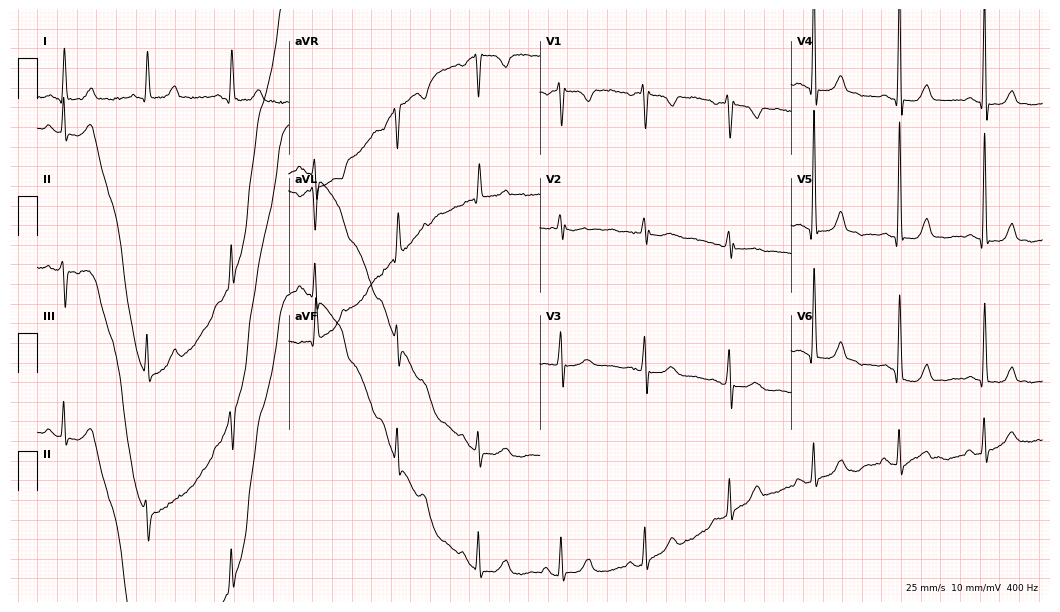
Electrocardiogram (10.2-second recording at 400 Hz), a female, 80 years old. Overall reading on record: normal ECG.